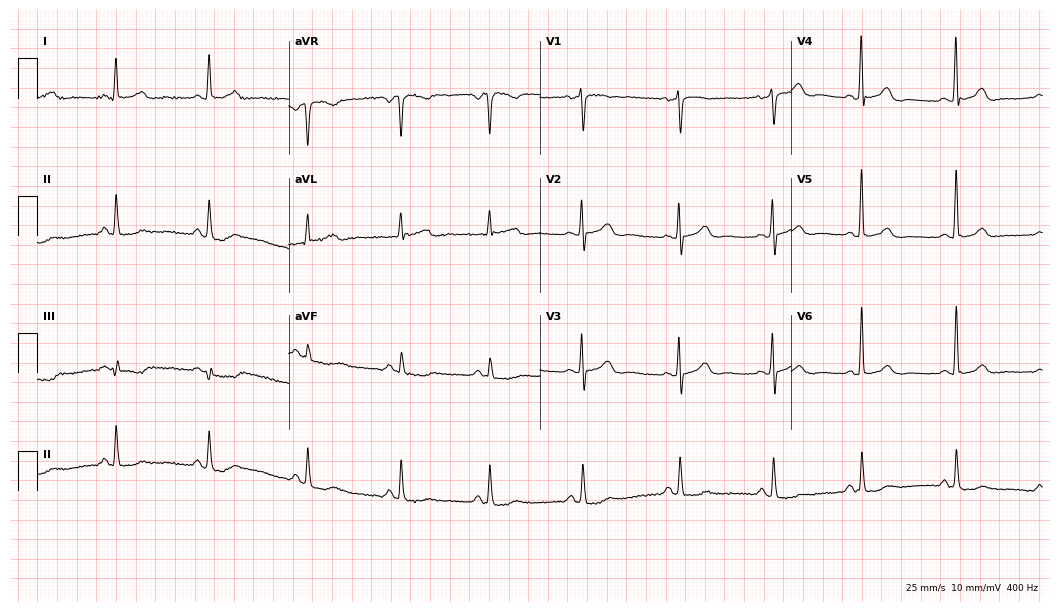
Standard 12-lead ECG recorded from a 70-year-old female patient (10.2-second recording at 400 Hz). Read as a normal ECG.